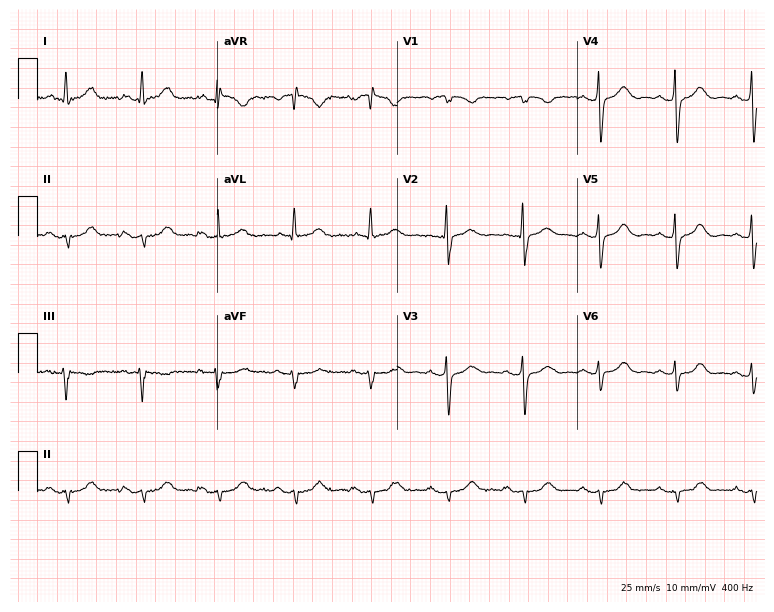
Electrocardiogram, an 81-year-old female. Of the six screened findings (first-degree AV block, right bundle branch block, left bundle branch block, sinus bradycardia, atrial fibrillation, sinus tachycardia), none is recorded.